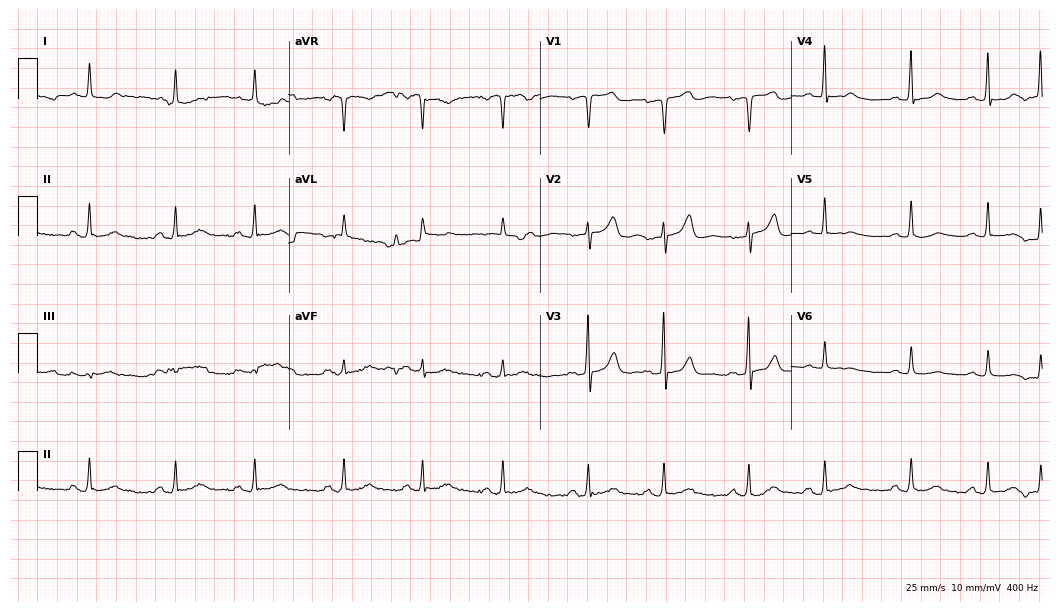
12-lead ECG from an 81-year-old female patient. Labelled as a normal ECG.